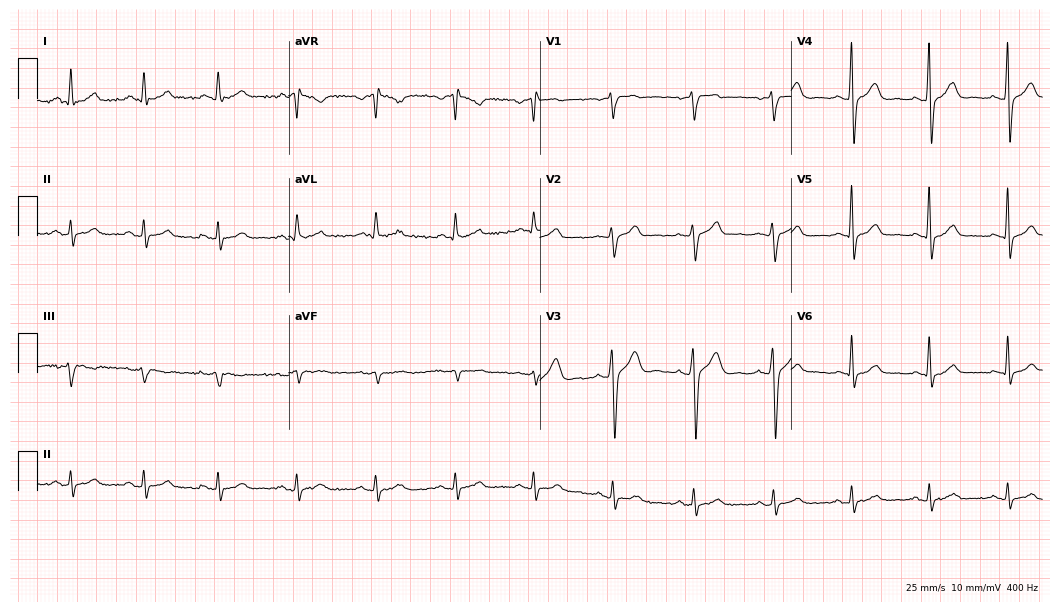
Resting 12-lead electrocardiogram (10.2-second recording at 400 Hz). Patient: a 37-year-old male. Read as a normal ECG.